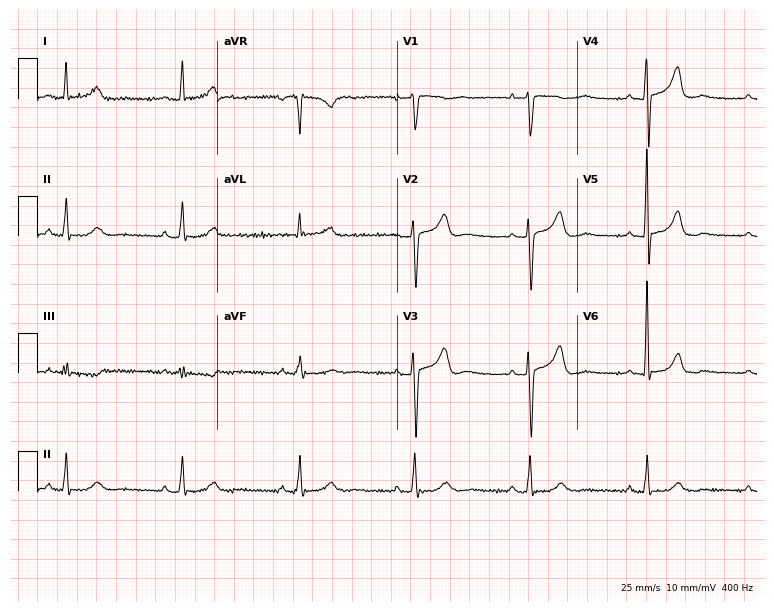
12-lead ECG from a 62-year-old woman. No first-degree AV block, right bundle branch block, left bundle branch block, sinus bradycardia, atrial fibrillation or sinus tachycardia recorded for this tracing.